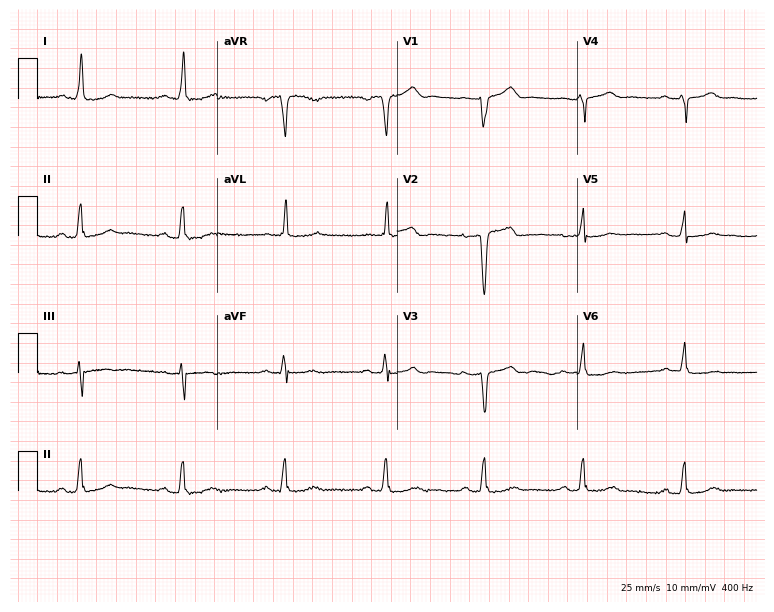
12-lead ECG (7.3-second recording at 400 Hz) from a female, 47 years old. Screened for six findings — first-degree AV block, right bundle branch block, left bundle branch block, sinus bradycardia, atrial fibrillation, sinus tachycardia — none is recorded.